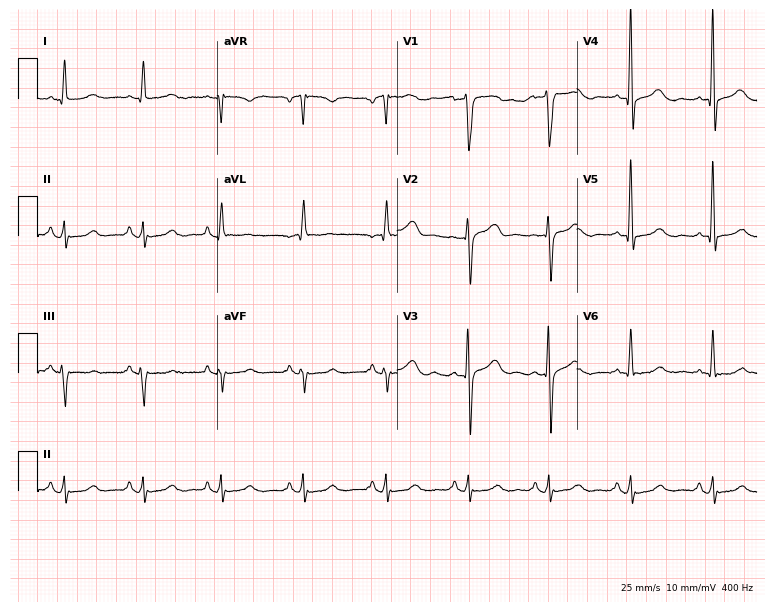
Electrocardiogram (7.3-second recording at 400 Hz), a man, 75 years old. Overall reading on record: normal ECG.